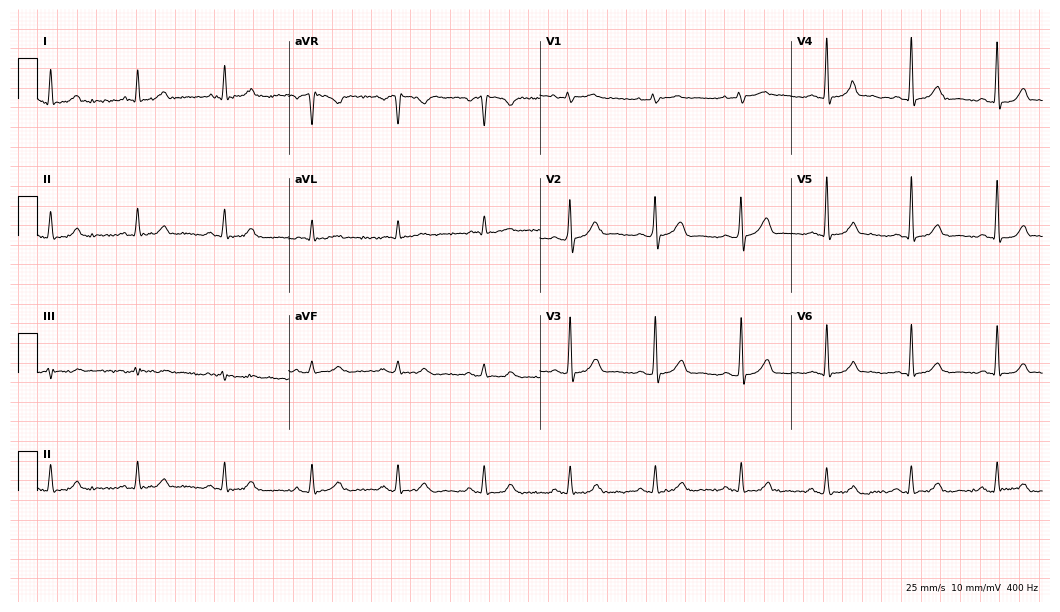
12-lead ECG (10.2-second recording at 400 Hz) from a male patient, 81 years old. Labelled as a normal ECG.